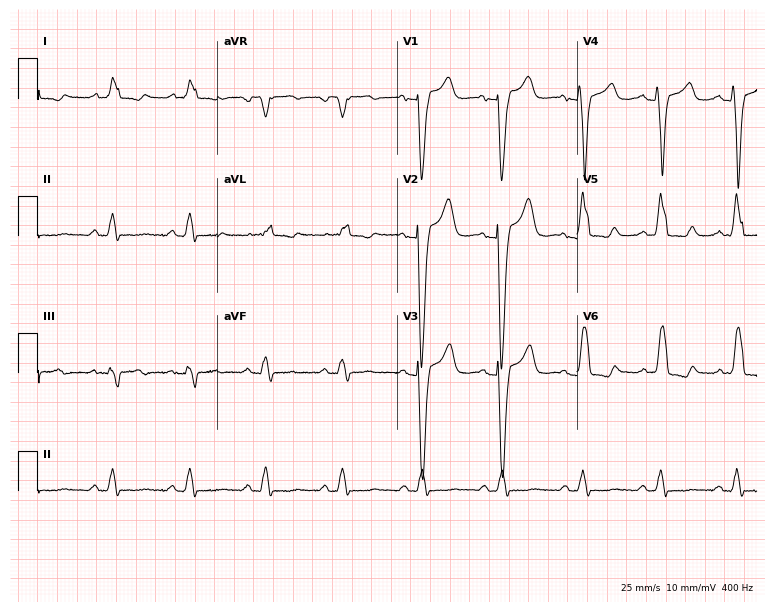
Electrocardiogram, a man, 54 years old. Of the six screened findings (first-degree AV block, right bundle branch block (RBBB), left bundle branch block (LBBB), sinus bradycardia, atrial fibrillation (AF), sinus tachycardia), none is recorded. Only these six findings were labelled.